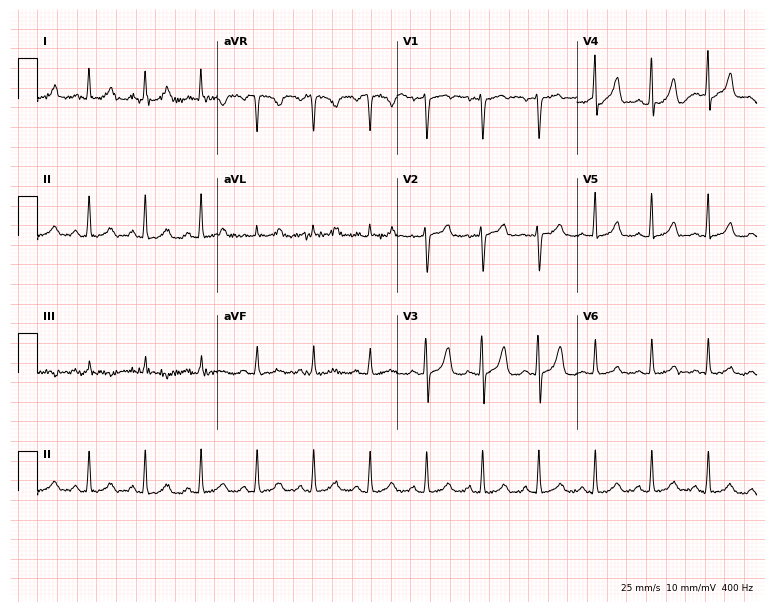
12-lead ECG from a 29-year-old woman. Screened for six findings — first-degree AV block, right bundle branch block, left bundle branch block, sinus bradycardia, atrial fibrillation, sinus tachycardia — none is recorded. Only these six findings were labelled.